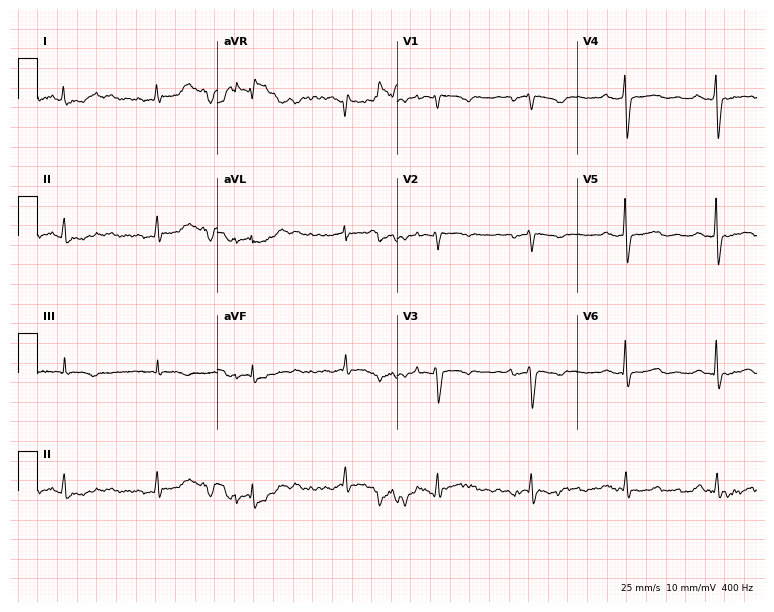
Resting 12-lead electrocardiogram (7.3-second recording at 400 Hz). Patient: a woman, 54 years old. None of these six findings is recorded: first-degree AV block, right bundle branch block, left bundle branch block, sinus bradycardia, atrial fibrillation, sinus tachycardia. Findings outside these six are not listed.